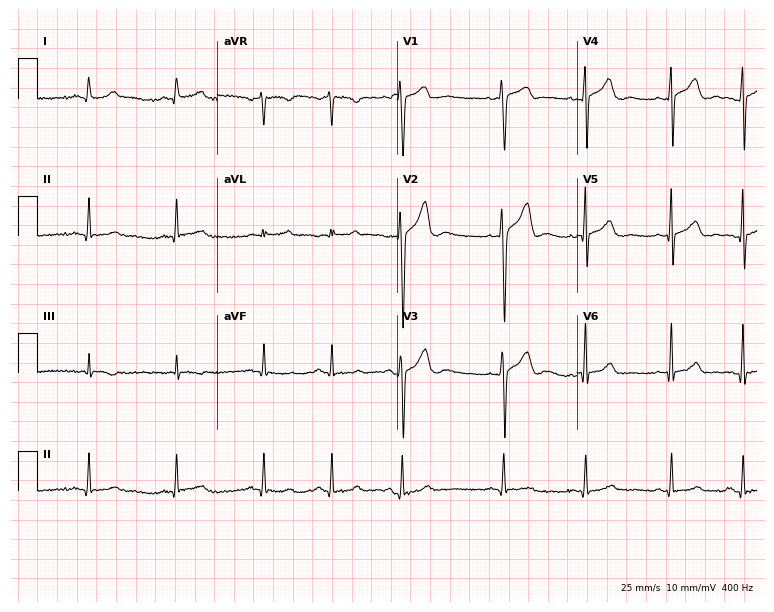
12-lead ECG (7.3-second recording at 400 Hz) from a male patient, 29 years old. Labelled as a normal ECG.